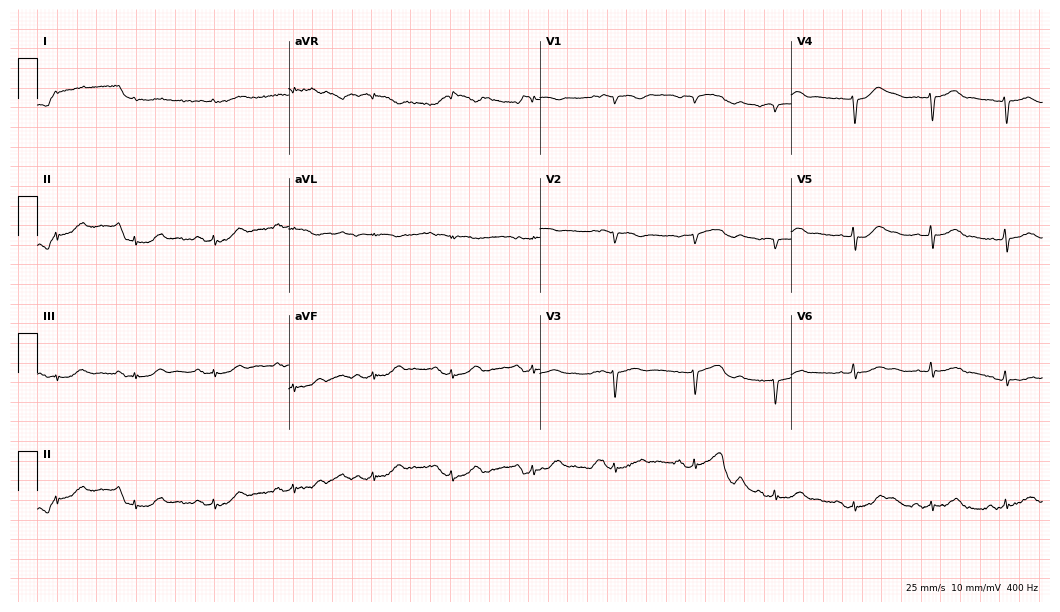
ECG (10.2-second recording at 400 Hz) — a man, 85 years old. Screened for six findings — first-degree AV block, right bundle branch block, left bundle branch block, sinus bradycardia, atrial fibrillation, sinus tachycardia — none is recorded.